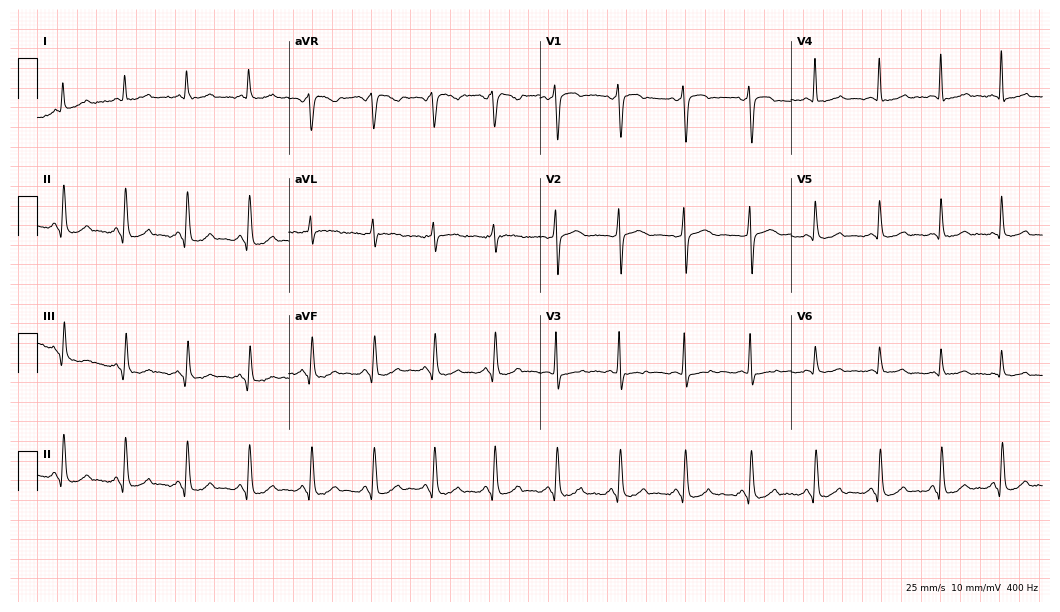
12-lead ECG from a 45-year-old female patient (10.2-second recording at 400 Hz). No first-degree AV block, right bundle branch block, left bundle branch block, sinus bradycardia, atrial fibrillation or sinus tachycardia recorded for this tracing.